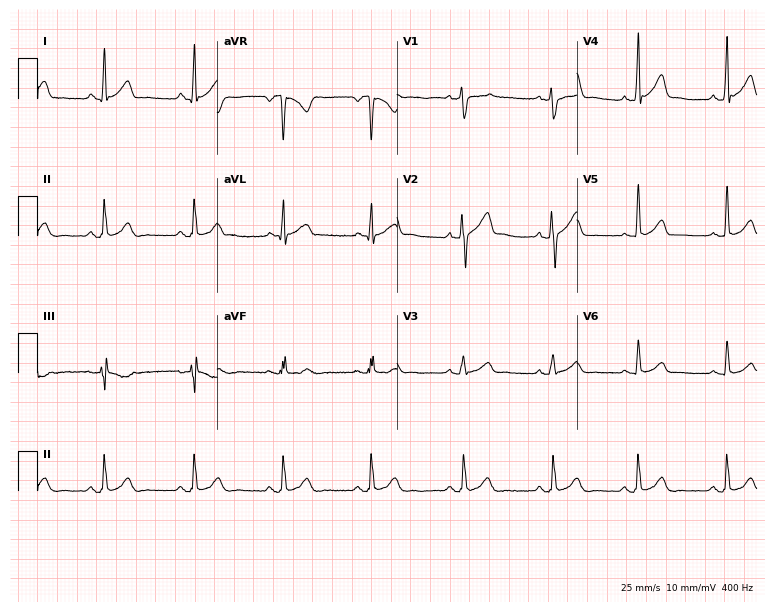
12-lead ECG from a 27-year-old male. Labelled as a normal ECG.